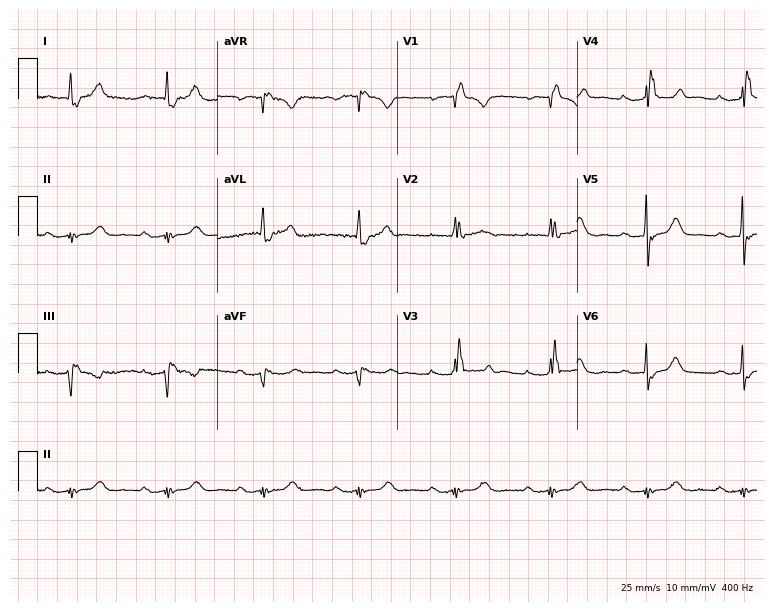
12-lead ECG from a female patient, 82 years old. Findings include first-degree AV block, right bundle branch block.